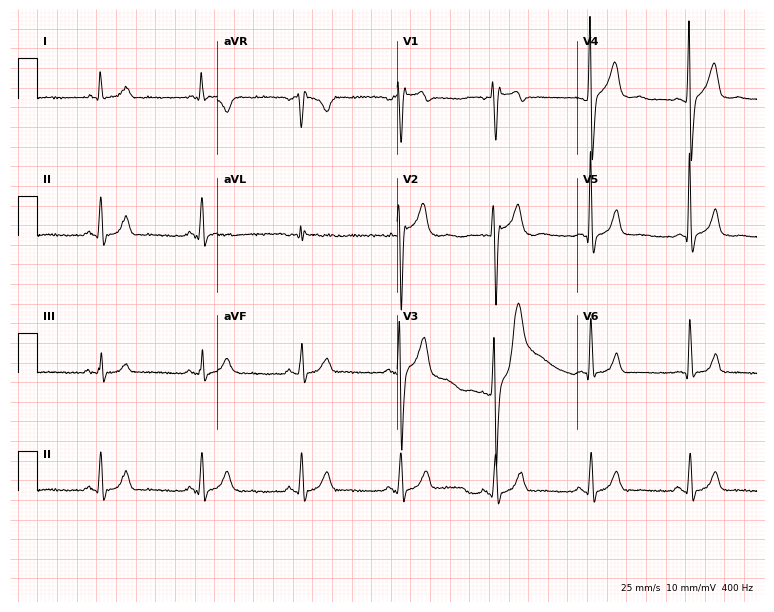
12-lead ECG from a 46-year-old male patient (7.3-second recording at 400 Hz). No first-degree AV block, right bundle branch block, left bundle branch block, sinus bradycardia, atrial fibrillation or sinus tachycardia recorded for this tracing. Other findings, if any, are not listed.